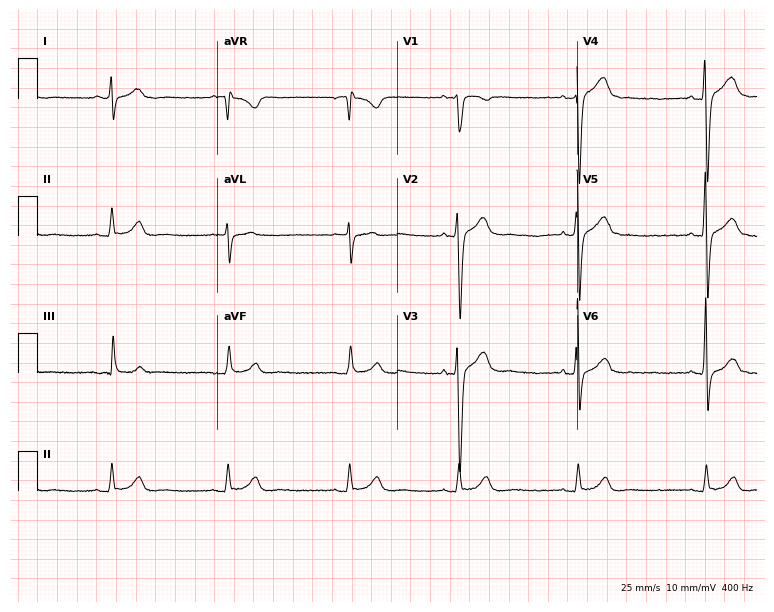
ECG (7.3-second recording at 400 Hz) — a 34-year-old male patient. Findings include sinus bradycardia (a sinus rate of 50 beats per minute or less).